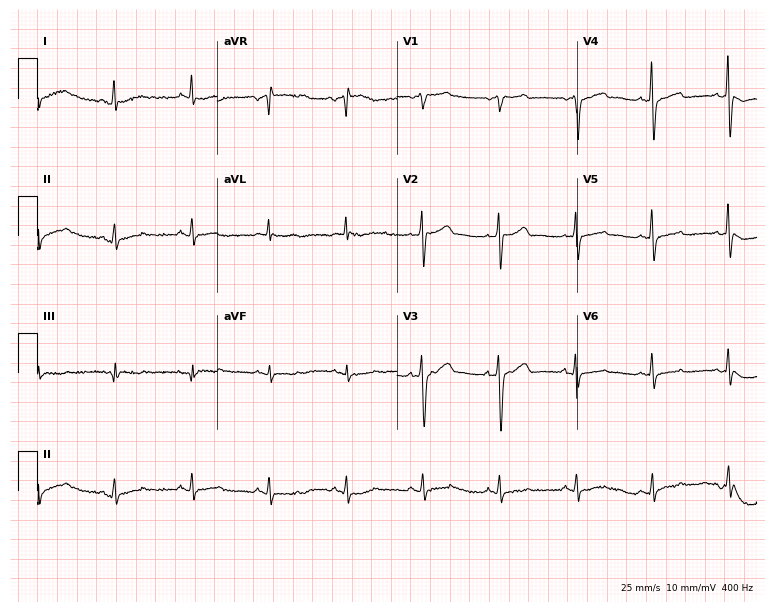
Resting 12-lead electrocardiogram. Patient: a female, 74 years old. None of these six findings is recorded: first-degree AV block, right bundle branch block, left bundle branch block, sinus bradycardia, atrial fibrillation, sinus tachycardia.